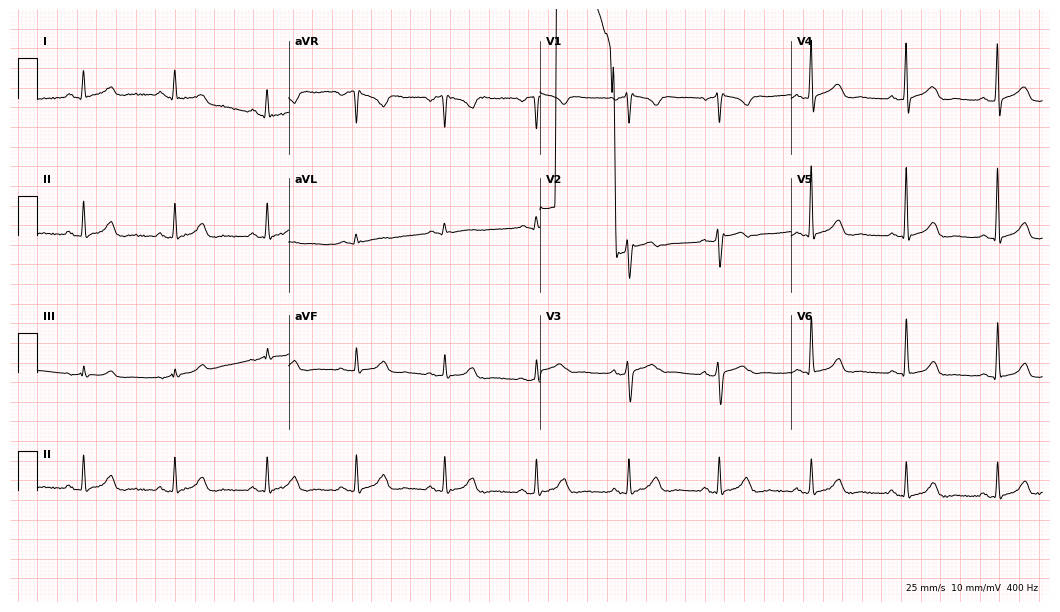
Electrocardiogram, a female, 35 years old. Of the six screened findings (first-degree AV block, right bundle branch block, left bundle branch block, sinus bradycardia, atrial fibrillation, sinus tachycardia), none is recorded.